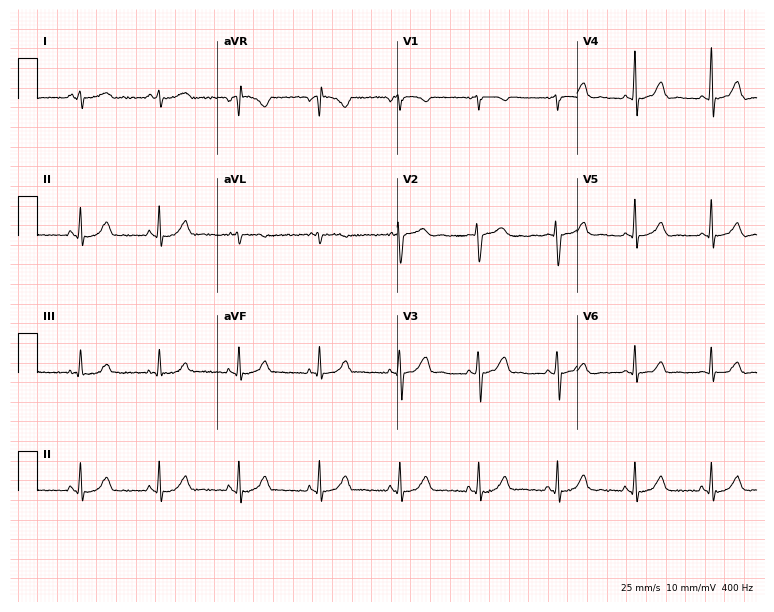
12-lead ECG from a 41-year-old woman. Labelled as a normal ECG.